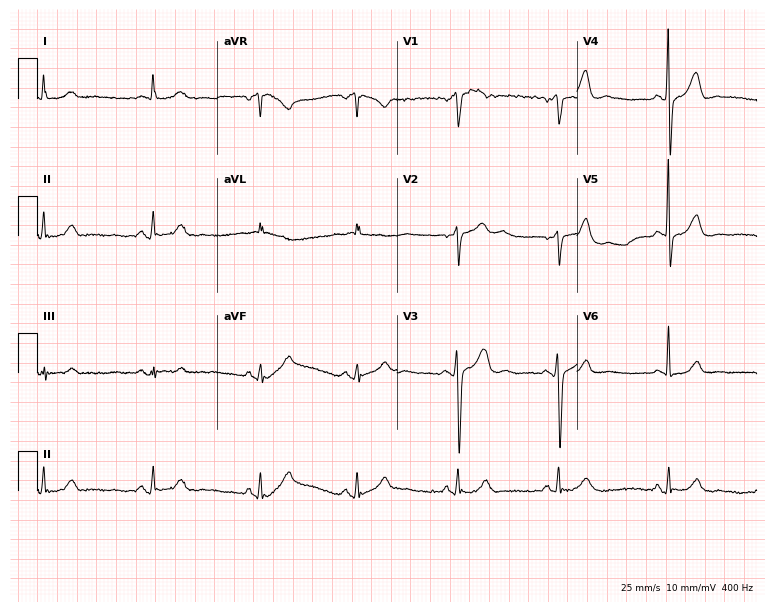
12-lead ECG from a 50-year-old man (7.3-second recording at 400 Hz). Recorded interpretation: within normal limits.